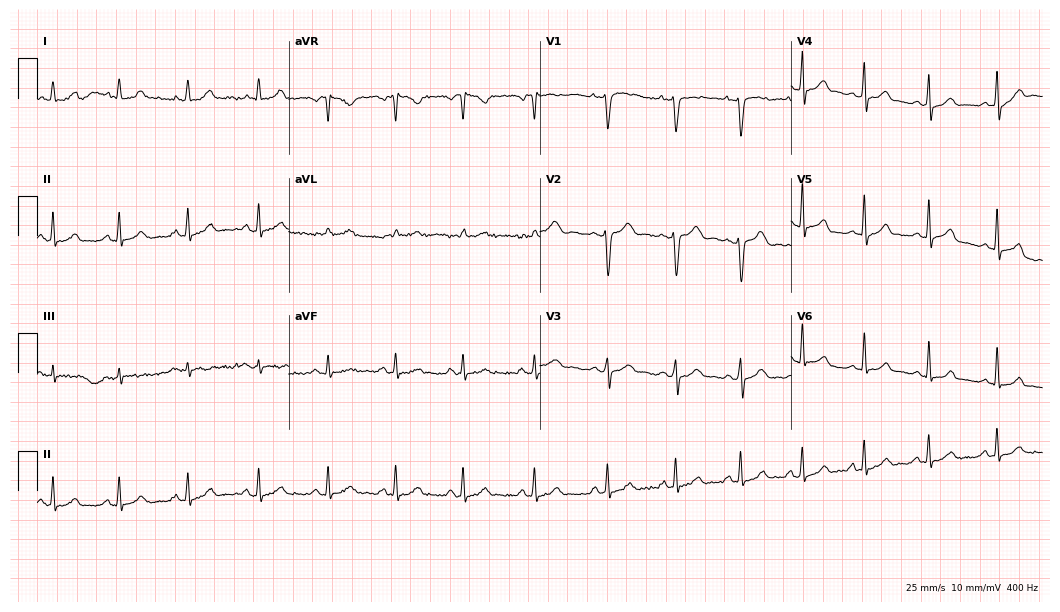
12-lead ECG from a female, 23 years old (10.2-second recording at 400 Hz). Recorded interpretation: within normal limits.